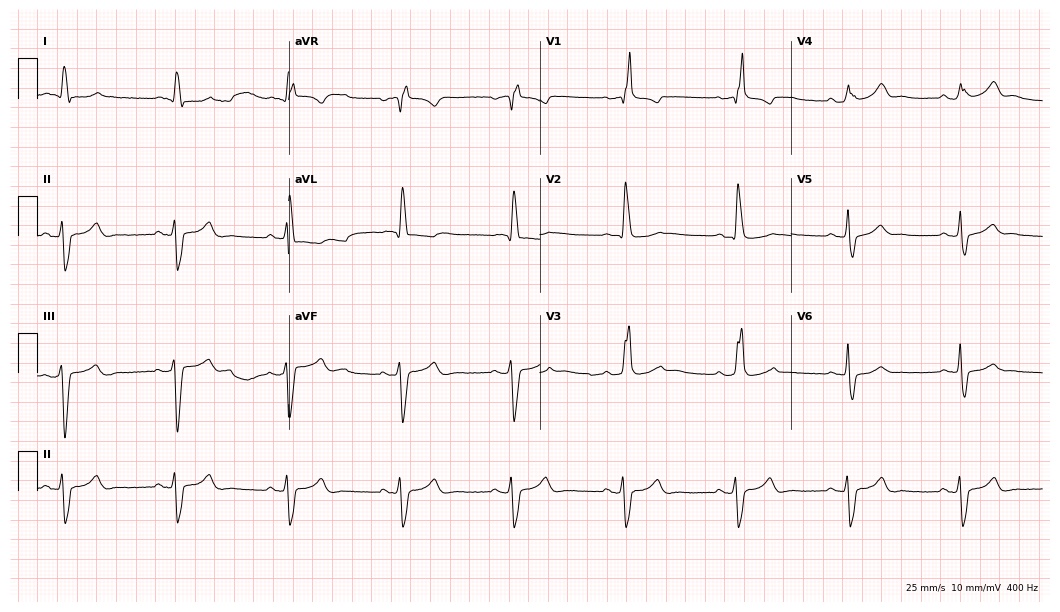
Resting 12-lead electrocardiogram (10.2-second recording at 400 Hz). Patient: a man, 80 years old. The tracing shows right bundle branch block.